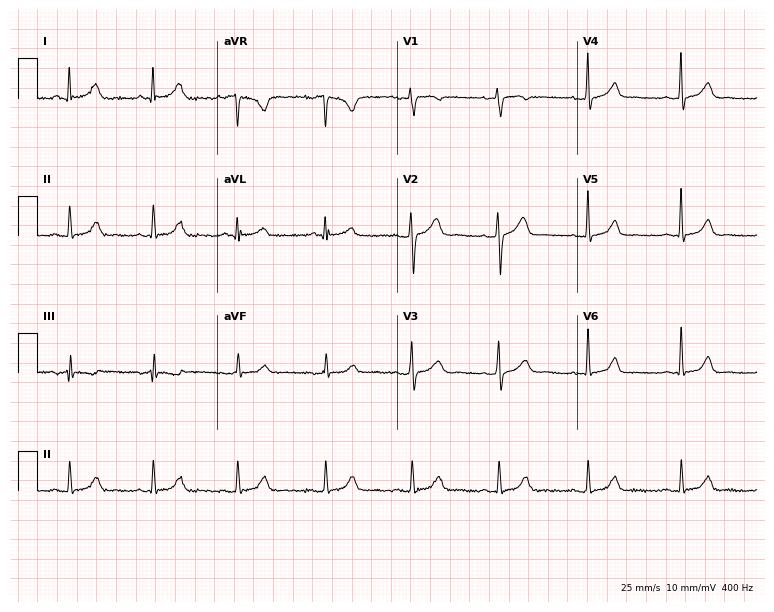
12-lead ECG from a female, 41 years old (7.3-second recording at 400 Hz). Recorded interpretation: within normal limits.